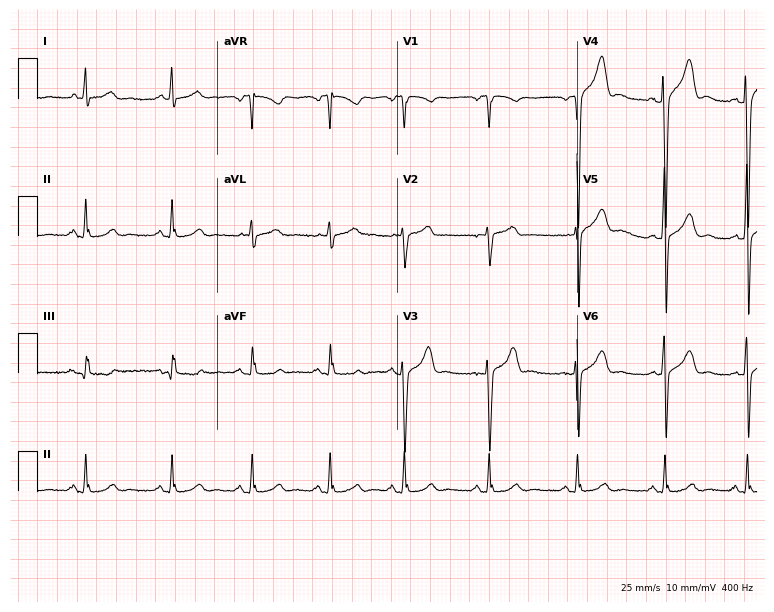
Resting 12-lead electrocardiogram. Patient: a male, 31 years old. None of these six findings is recorded: first-degree AV block, right bundle branch block, left bundle branch block, sinus bradycardia, atrial fibrillation, sinus tachycardia. Other findings, if any, are not listed.